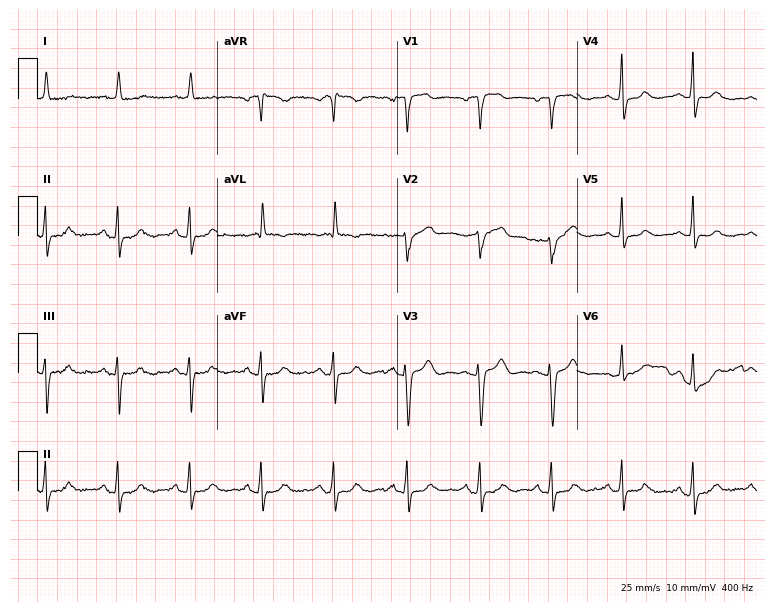
ECG — a 77-year-old female patient. Labelled as a normal ECG.